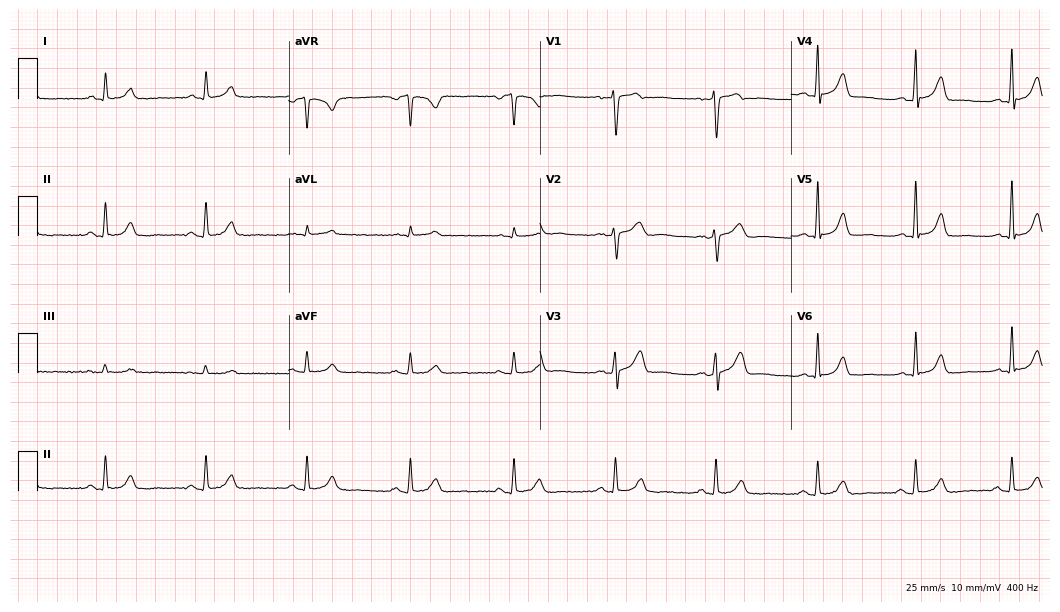
Electrocardiogram (10.2-second recording at 400 Hz), a female patient, 54 years old. Of the six screened findings (first-degree AV block, right bundle branch block, left bundle branch block, sinus bradycardia, atrial fibrillation, sinus tachycardia), none is recorded. Only these six findings were labelled.